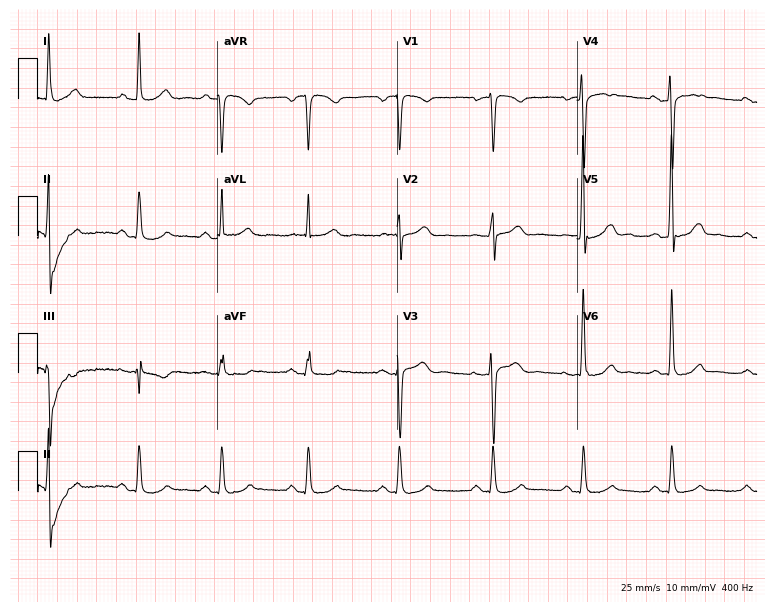
ECG (7.3-second recording at 400 Hz) — a female, 49 years old. Screened for six findings — first-degree AV block, right bundle branch block, left bundle branch block, sinus bradycardia, atrial fibrillation, sinus tachycardia — none is recorded. Only these six findings were labelled.